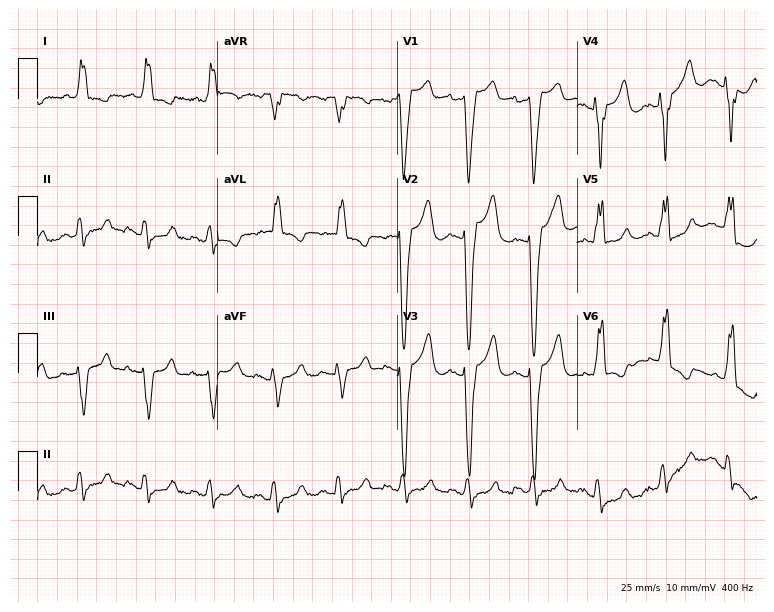
12-lead ECG from a woman, 49 years old. Findings include left bundle branch block.